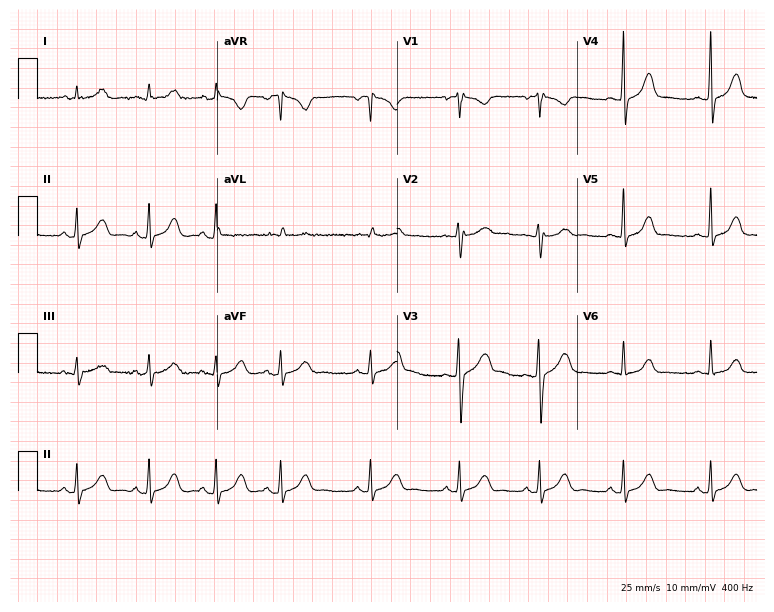
ECG — a female, 27 years old. Labelled as a normal ECG.